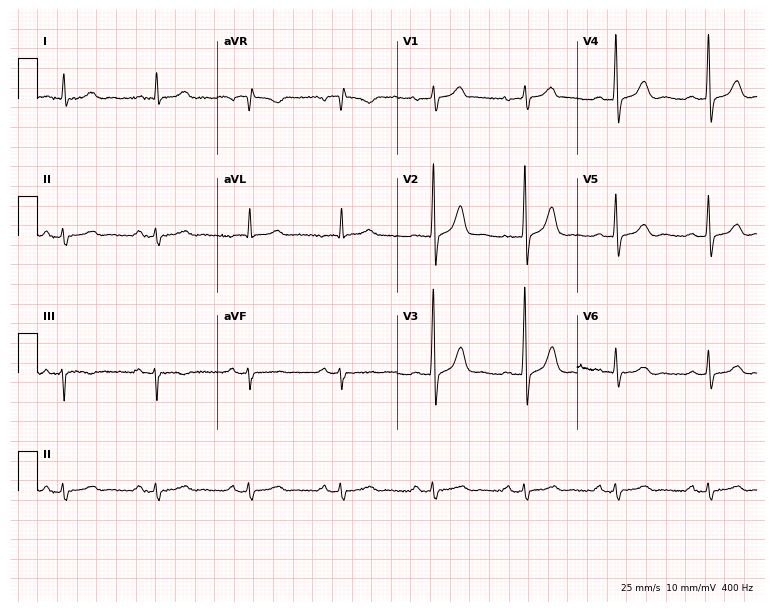
12-lead ECG from a male patient, 76 years old. Screened for six findings — first-degree AV block, right bundle branch block (RBBB), left bundle branch block (LBBB), sinus bradycardia, atrial fibrillation (AF), sinus tachycardia — none is recorded.